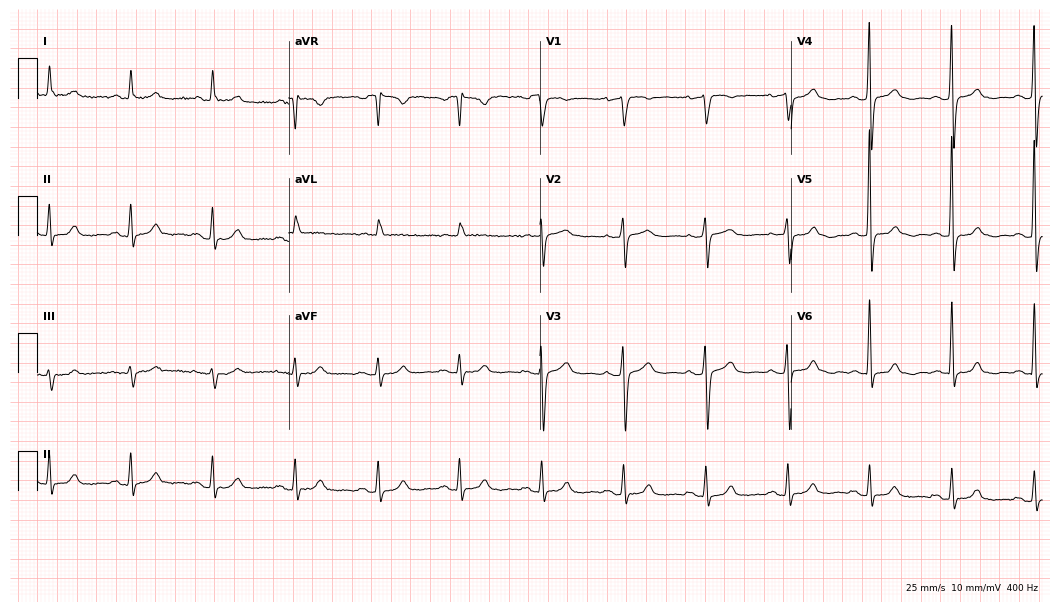
Electrocardiogram (10.2-second recording at 400 Hz), a woman, 68 years old. Overall reading on record: normal ECG.